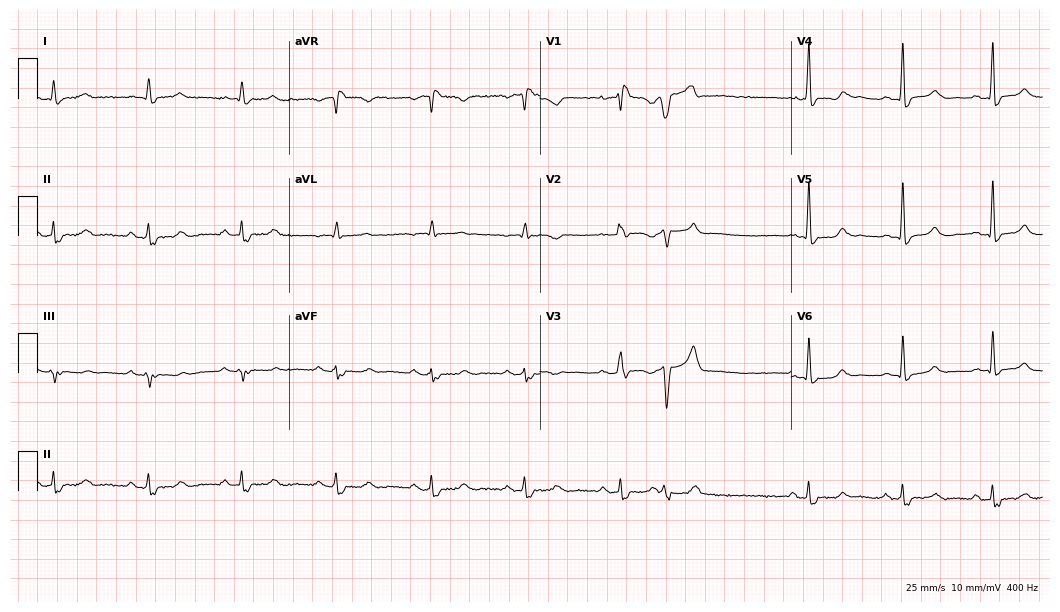
Standard 12-lead ECG recorded from a 59-year-old female. The tracing shows right bundle branch block.